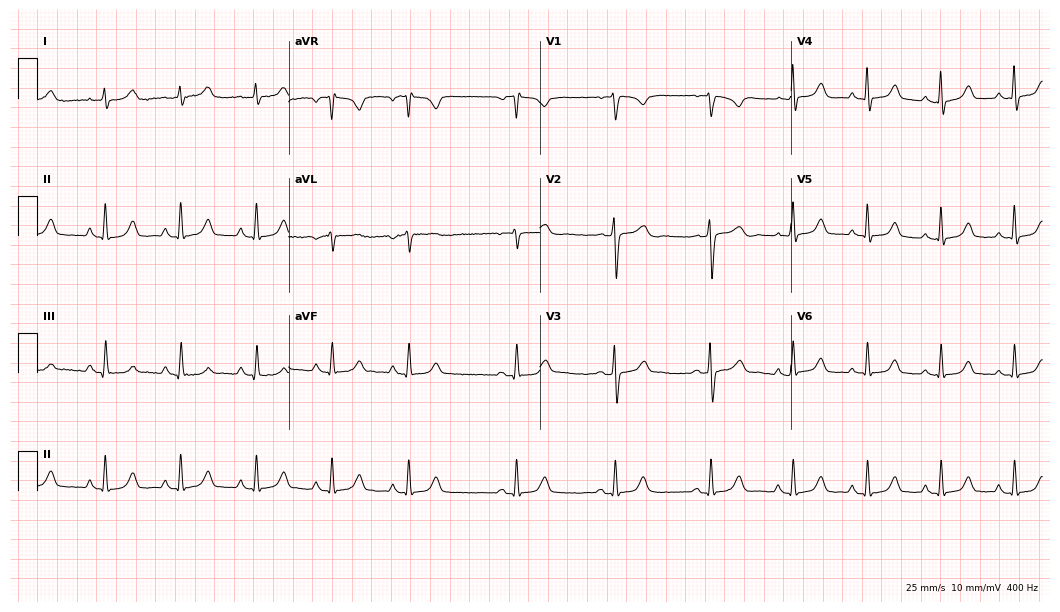
Electrocardiogram (10.2-second recording at 400 Hz), a female patient, 42 years old. Overall reading on record: normal ECG.